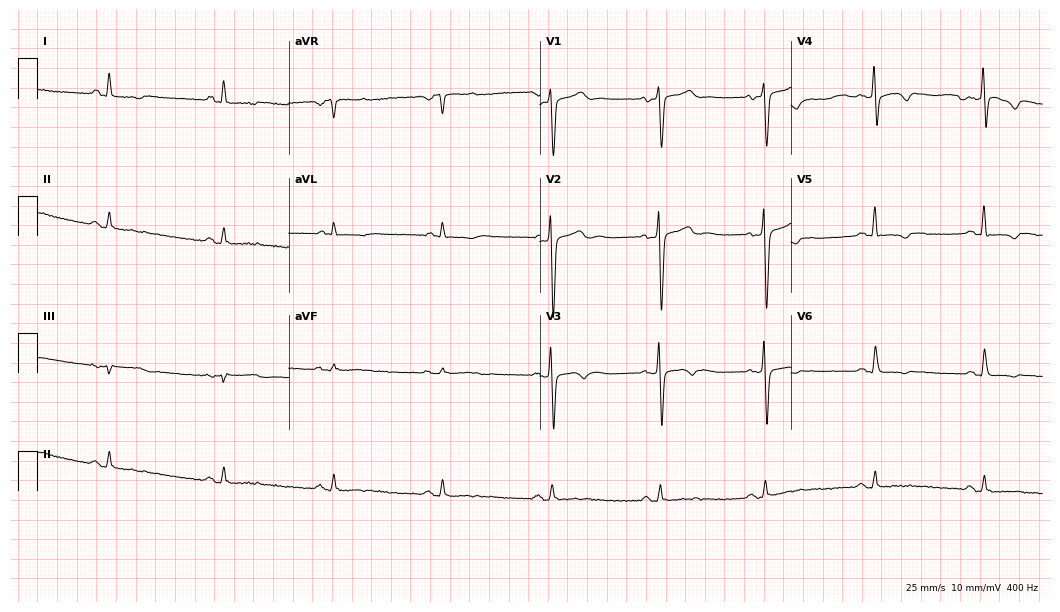
Resting 12-lead electrocardiogram. Patient: a male, 43 years old. None of these six findings is recorded: first-degree AV block, right bundle branch block, left bundle branch block, sinus bradycardia, atrial fibrillation, sinus tachycardia. Only these six findings were labelled.